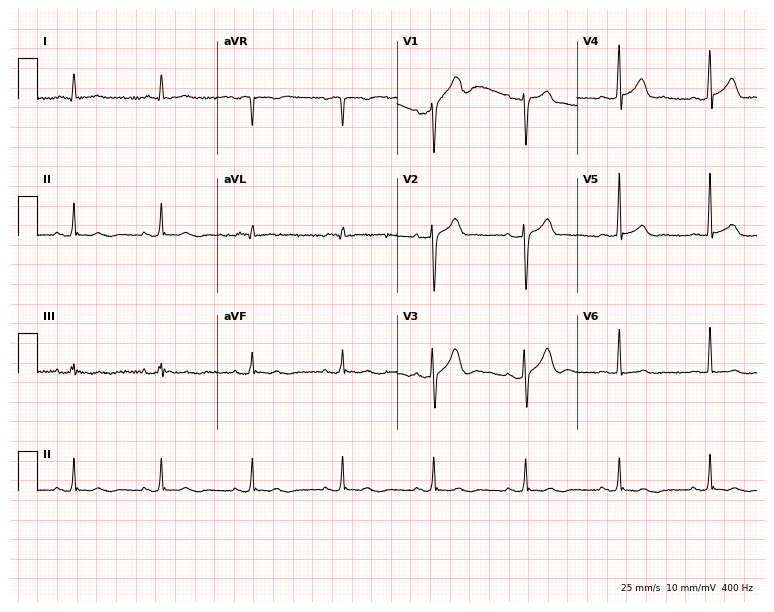
Electrocardiogram, a 42-year-old man. Of the six screened findings (first-degree AV block, right bundle branch block (RBBB), left bundle branch block (LBBB), sinus bradycardia, atrial fibrillation (AF), sinus tachycardia), none is recorded.